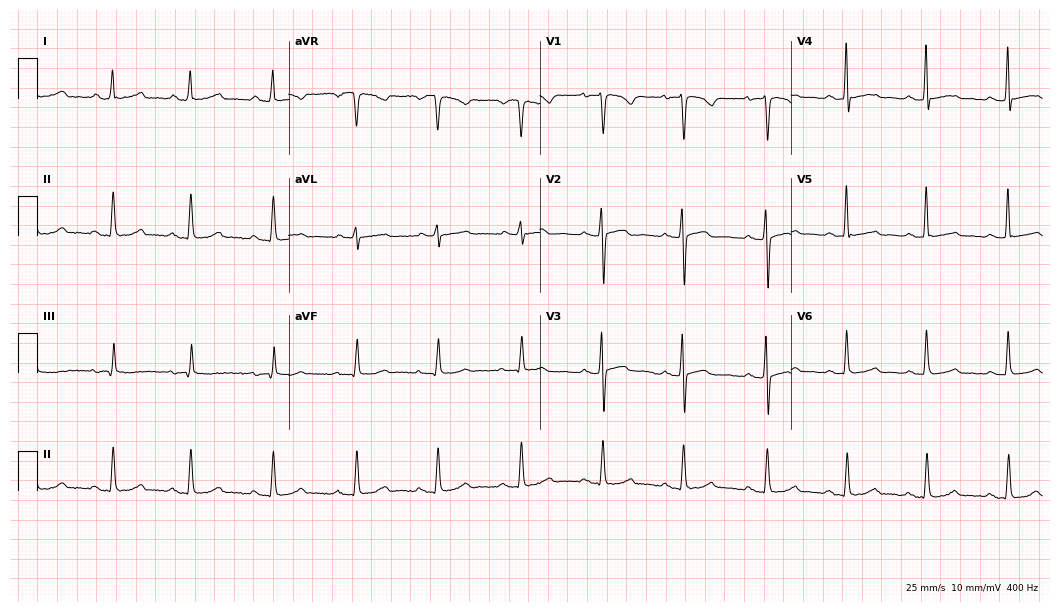
12-lead ECG from a woman, 44 years old. No first-degree AV block, right bundle branch block, left bundle branch block, sinus bradycardia, atrial fibrillation or sinus tachycardia recorded for this tracing.